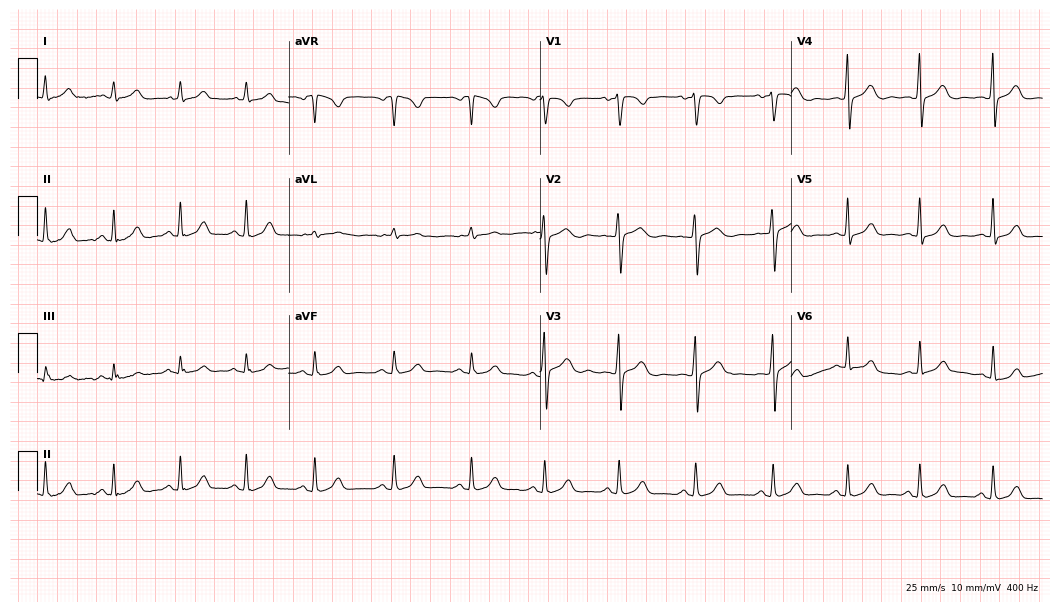
12-lead ECG (10.2-second recording at 400 Hz) from a 24-year-old female patient. Labelled as a normal ECG.